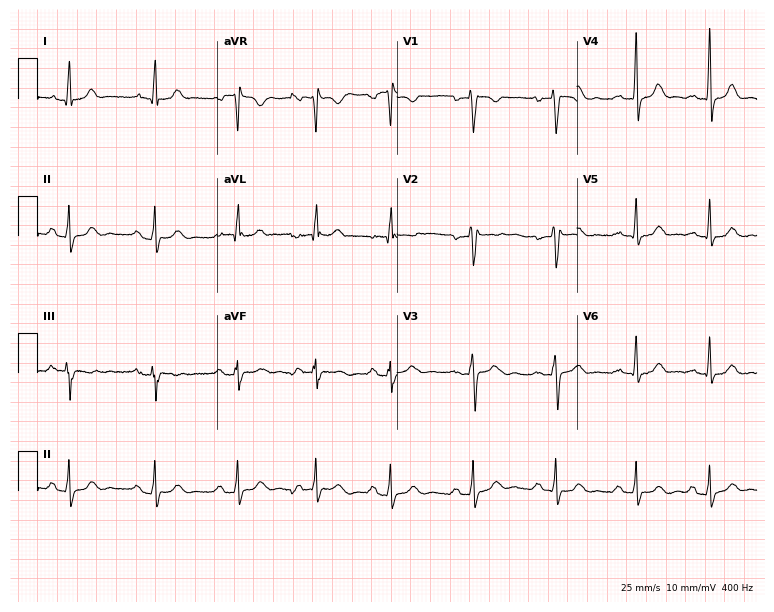
12-lead ECG (7.3-second recording at 400 Hz) from a 29-year-old female patient. Labelled as a normal ECG.